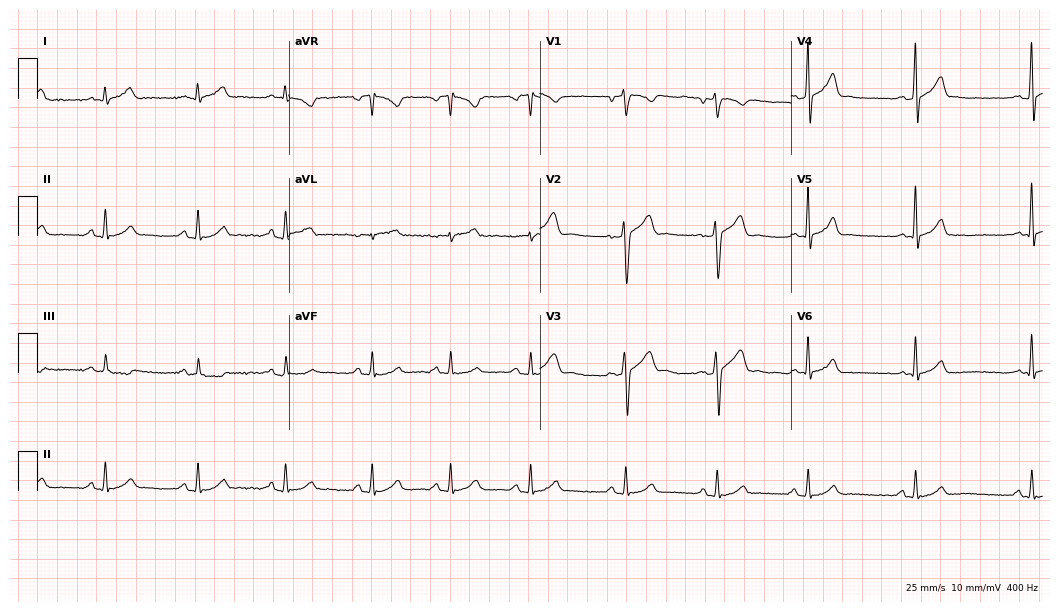
ECG — a male, 35 years old. Labelled as a normal ECG.